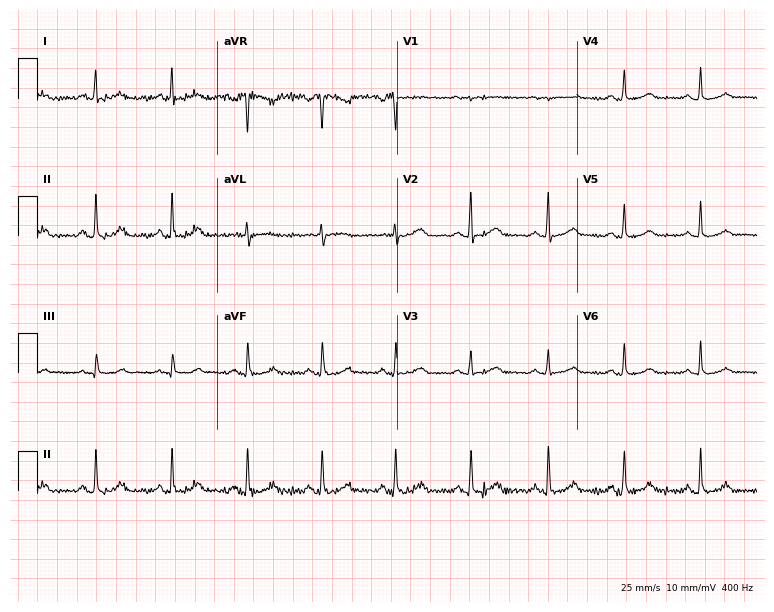
ECG (7.3-second recording at 400 Hz) — a female, 45 years old. Screened for six findings — first-degree AV block, right bundle branch block, left bundle branch block, sinus bradycardia, atrial fibrillation, sinus tachycardia — none is recorded.